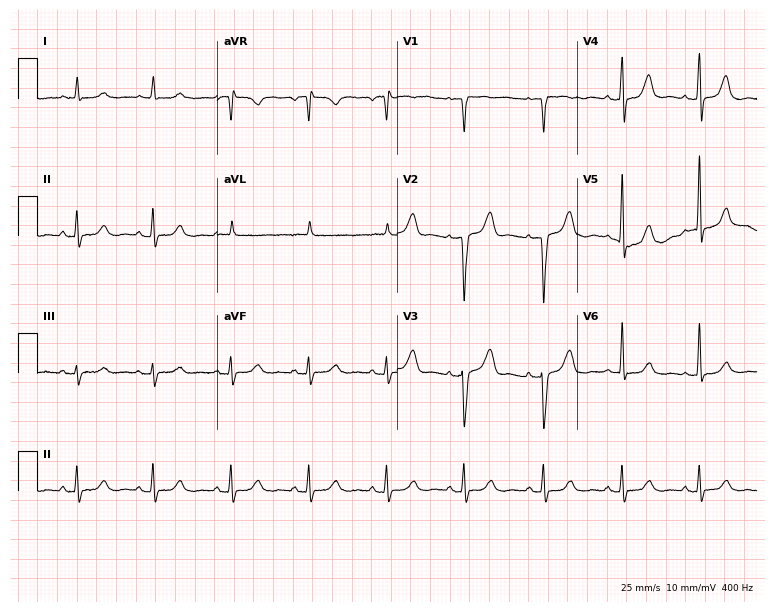
Resting 12-lead electrocardiogram (7.3-second recording at 400 Hz). Patient: an 81-year-old female. Read as a normal ECG.